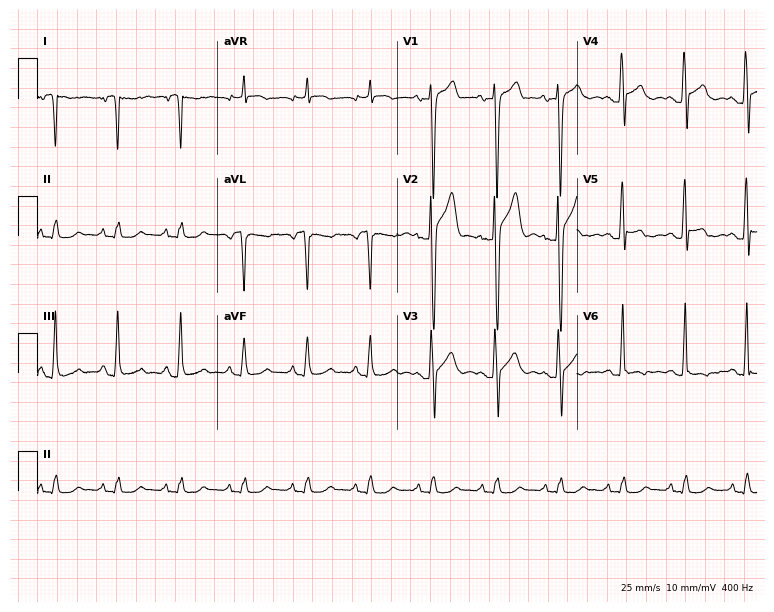
Electrocardiogram (7.3-second recording at 400 Hz), a male, 35 years old. Overall reading on record: normal ECG.